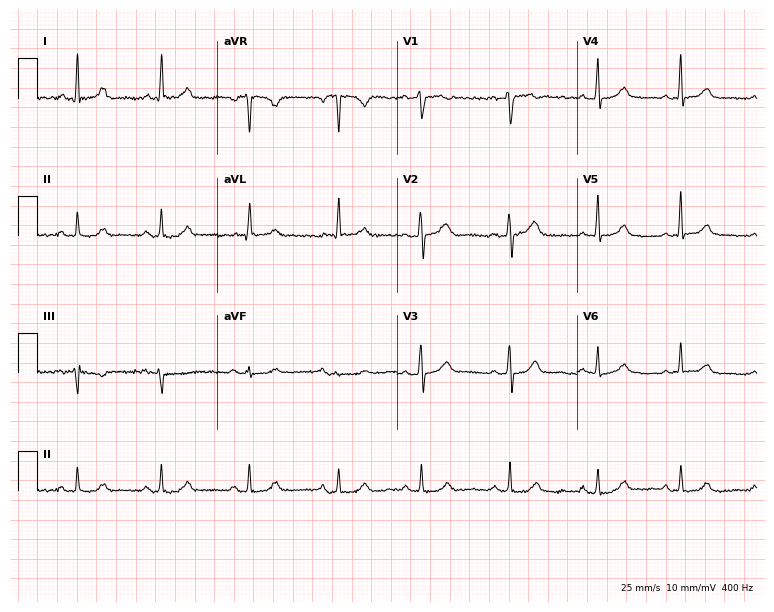
Electrocardiogram (7.3-second recording at 400 Hz), a 57-year-old female patient. Overall reading on record: normal ECG.